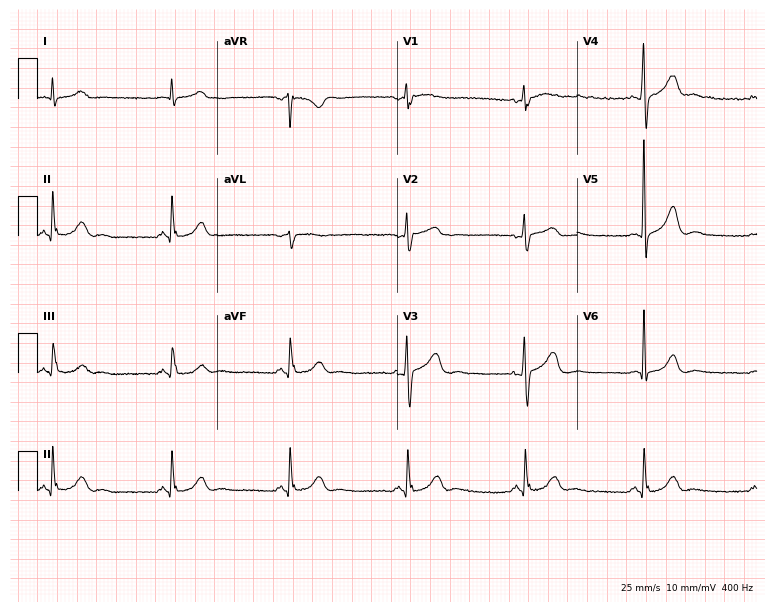
Electrocardiogram, a male, 67 years old. Interpretation includes sinus bradycardia (a sinus rate of 50 beats per minute or less).